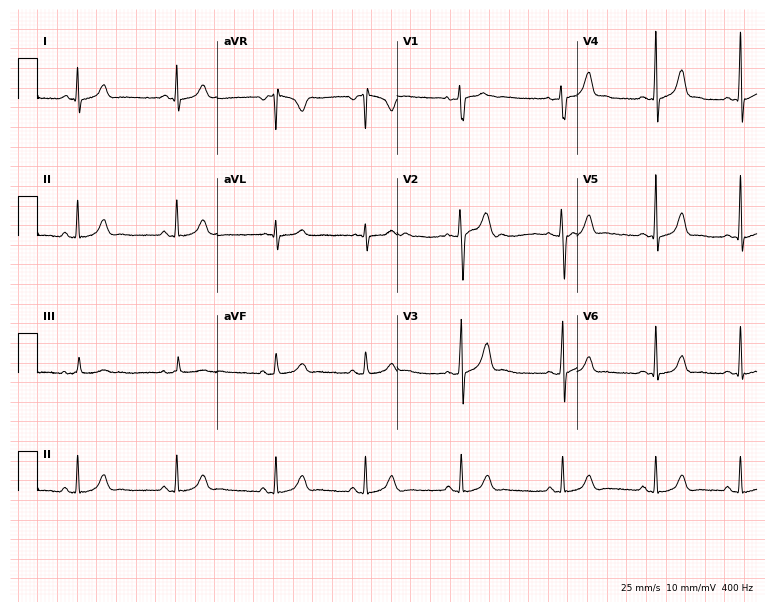
12-lead ECG from a 27-year-old woman. No first-degree AV block, right bundle branch block, left bundle branch block, sinus bradycardia, atrial fibrillation or sinus tachycardia recorded for this tracing. Other findings, if any, are not listed.